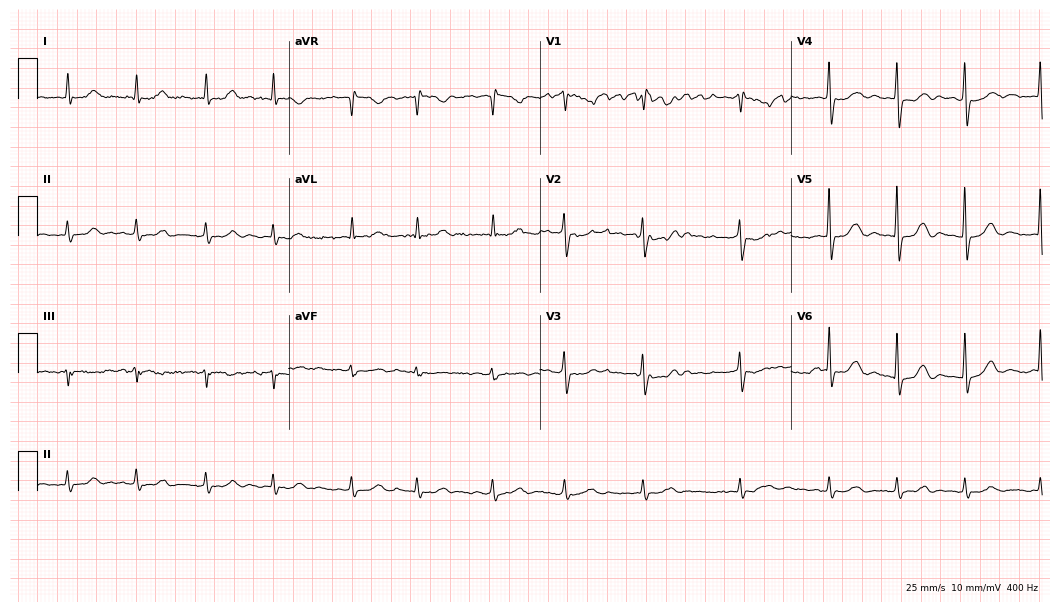
ECG (10.2-second recording at 400 Hz) — an 85-year-old woman. Findings include atrial fibrillation (AF).